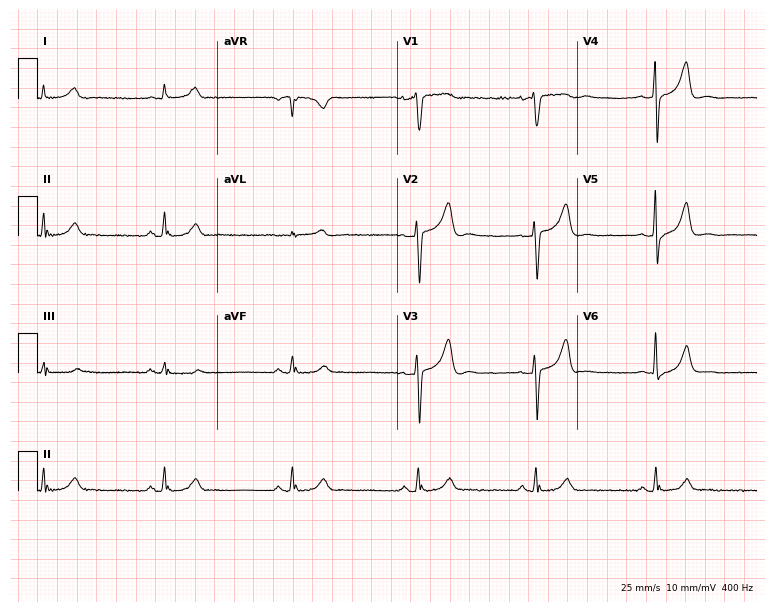
12-lead ECG (7.3-second recording at 400 Hz) from a 61-year-old male. Findings include sinus bradycardia (a sinus rate of 50 beats per minute or less).